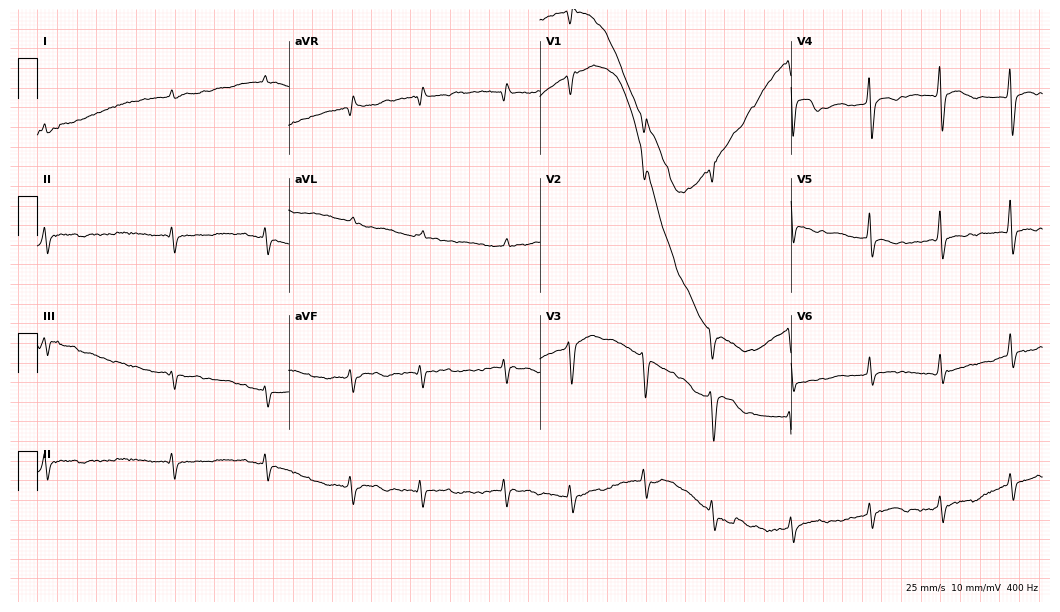
Resting 12-lead electrocardiogram. Patient: a female, 72 years old. None of these six findings is recorded: first-degree AV block, right bundle branch block, left bundle branch block, sinus bradycardia, atrial fibrillation, sinus tachycardia. Only these six findings were labelled.